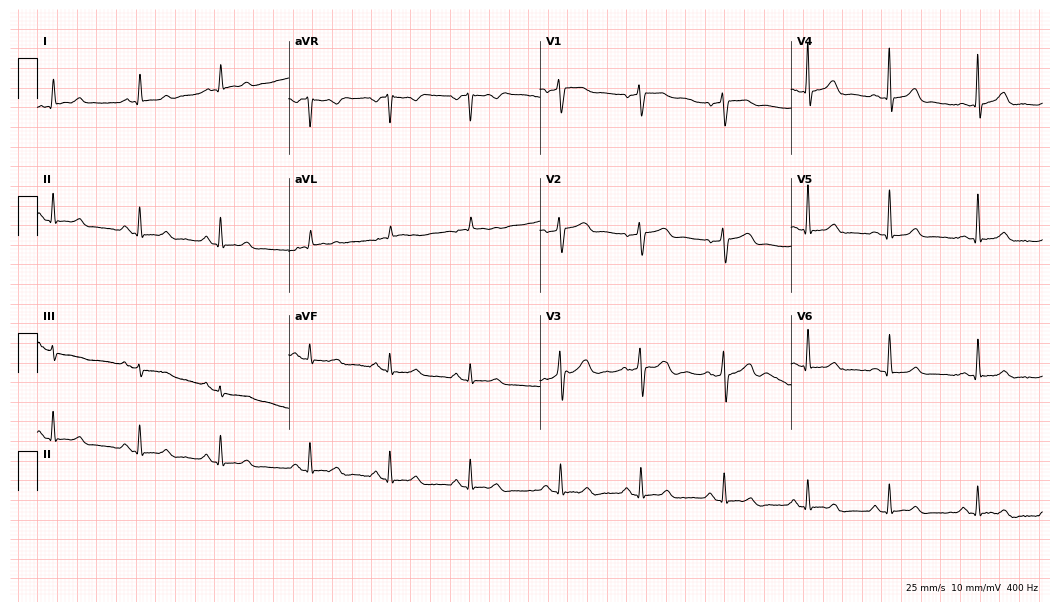
Electrocardiogram (10.2-second recording at 400 Hz), an 85-year-old male. Overall reading on record: normal ECG.